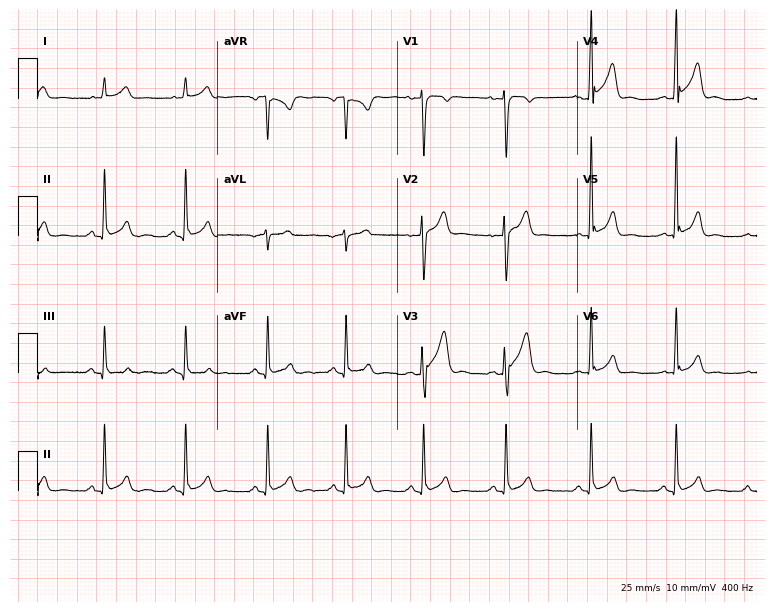
12-lead ECG from a 28-year-old male patient (7.3-second recording at 400 Hz). No first-degree AV block, right bundle branch block, left bundle branch block, sinus bradycardia, atrial fibrillation or sinus tachycardia recorded for this tracing. Other findings, if any, are not listed.